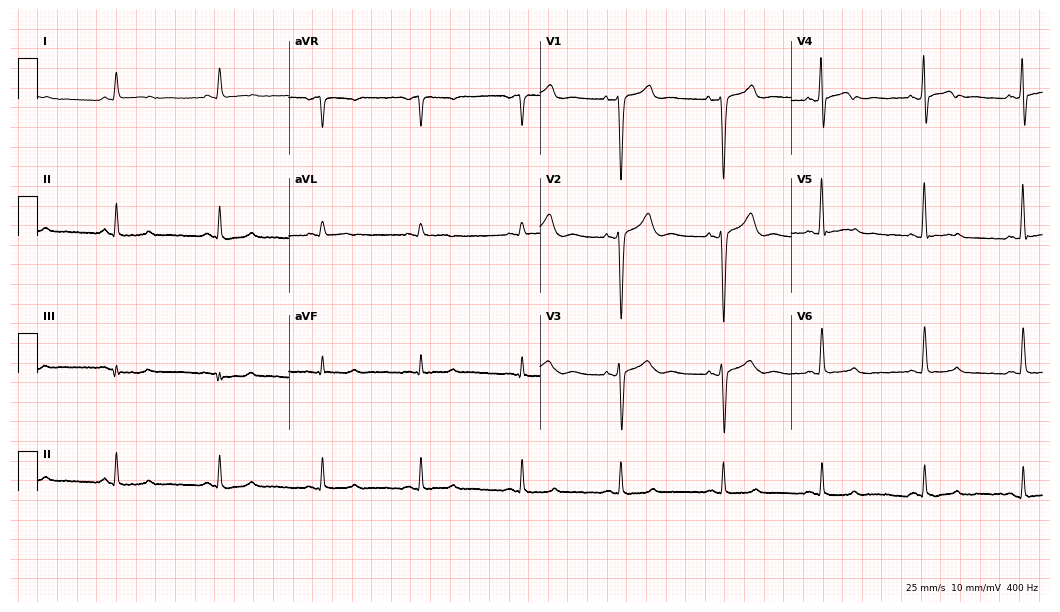
Electrocardiogram, a male, 53 years old. Overall reading on record: normal ECG.